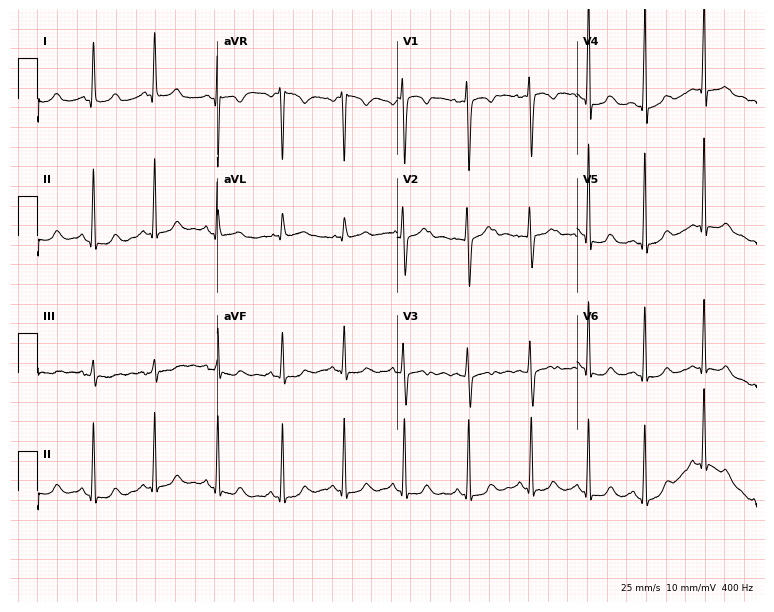
12-lead ECG from a woman, 30 years old (7.3-second recording at 400 Hz). Recorded interpretation: within normal limits.